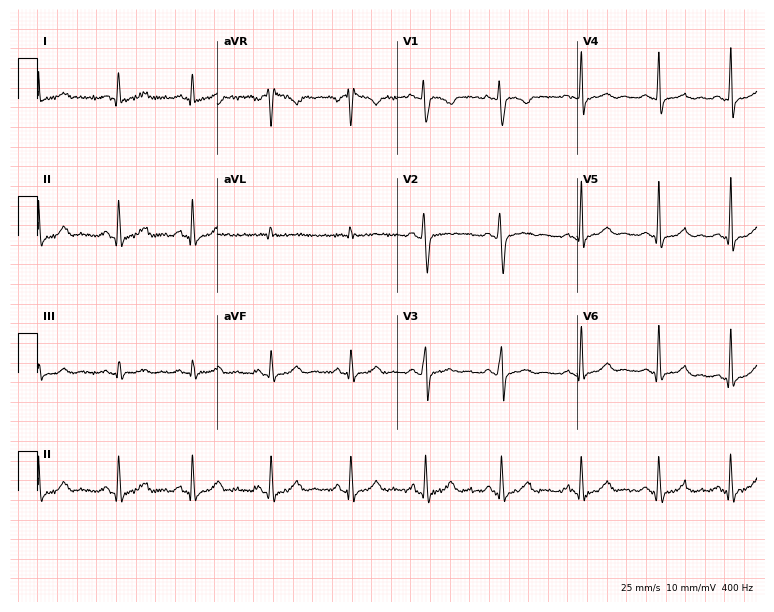
Resting 12-lead electrocardiogram. Patient: a 34-year-old woman. None of these six findings is recorded: first-degree AV block, right bundle branch block, left bundle branch block, sinus bradycardia, atrial fibrillation, sinus tachycardia.